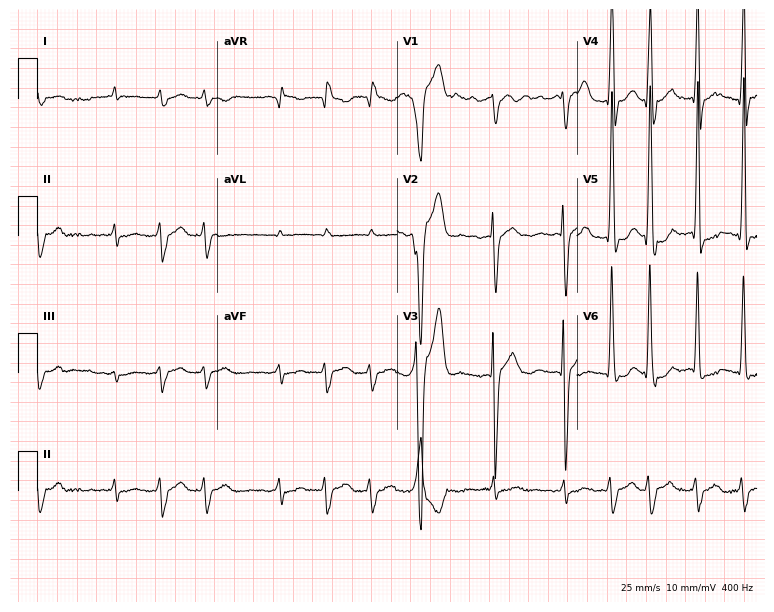
12-lead ECG from a 74-year-old man (7.3-second recording at 400 Hz). Shows atrial fibrillation.